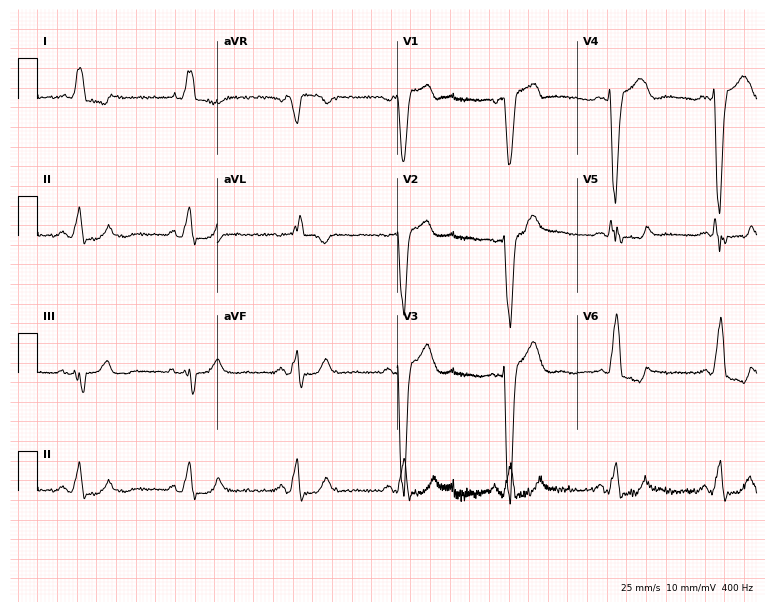
Electrocardiogram, a man, 84 years old. Interpretation includes left bundle branch block.